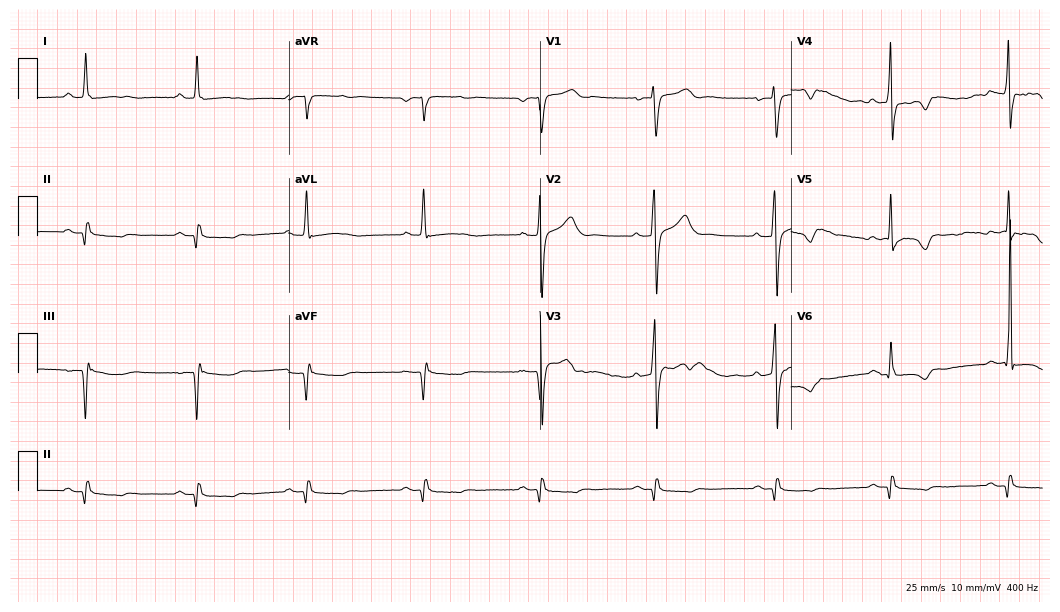
12-lead ECG from a man, 65 years old. No first-degree AV block, right bundle branch block, left bundle branch block, sinus bradycardia, atrial fibrillation or sinus tachycardia recorded for this tracing. Other findings, if any, are not listed.